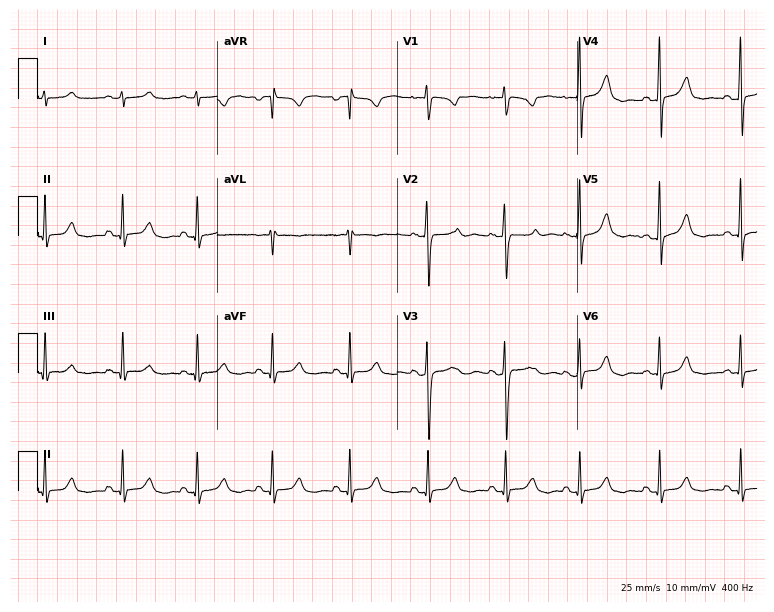
Resting 12-lead electrocardiogram (7.3-second recording at 400 Hz). Patient: a female, 31 years old. Read as a normal ECG.